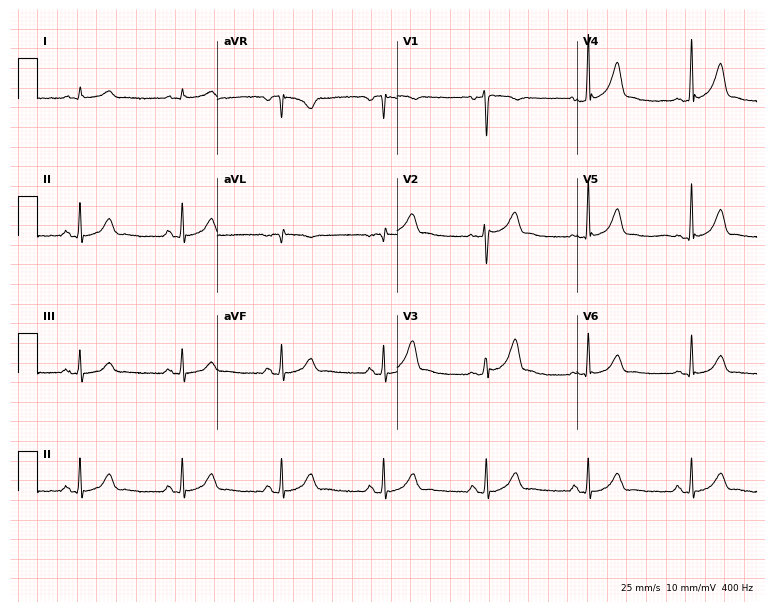
Standard 12-lead ECG recorded from a male, 41 years old (7.3-second recording at 400 Hz). Read as a normal ECG.